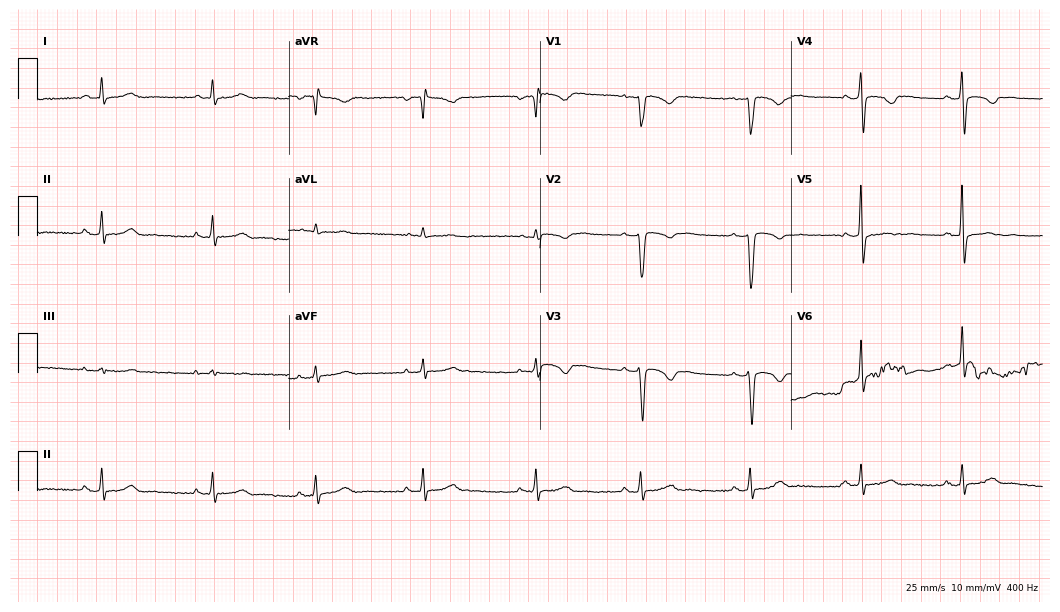
Resting 12-lead electrocardiogram (10.2-second recording at 400 Hz). Patient: a 37-year-old woman. Read as a normal ECG.